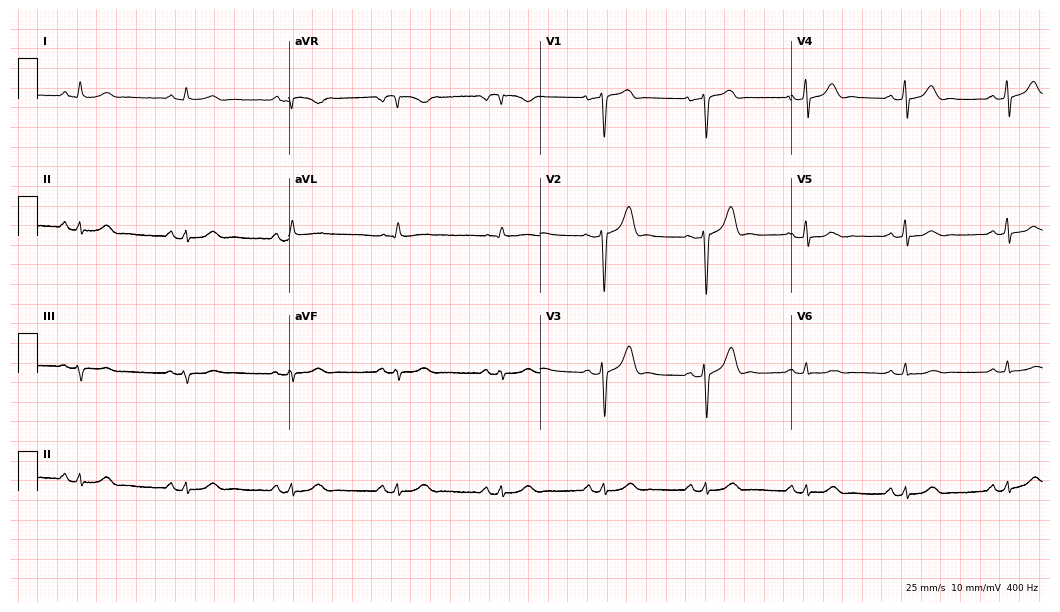
Resting 12-lead electrocardiogram (10.2-second recording at 400 Hz). Patient: a man, 65 years old. None of these six findings is recorded: first-degree AV block, right bundle branch block, left bundle branch block, sinus bradycardia, atrial fibrillation, sinus tachycardia. Findings outside these six are not listed.